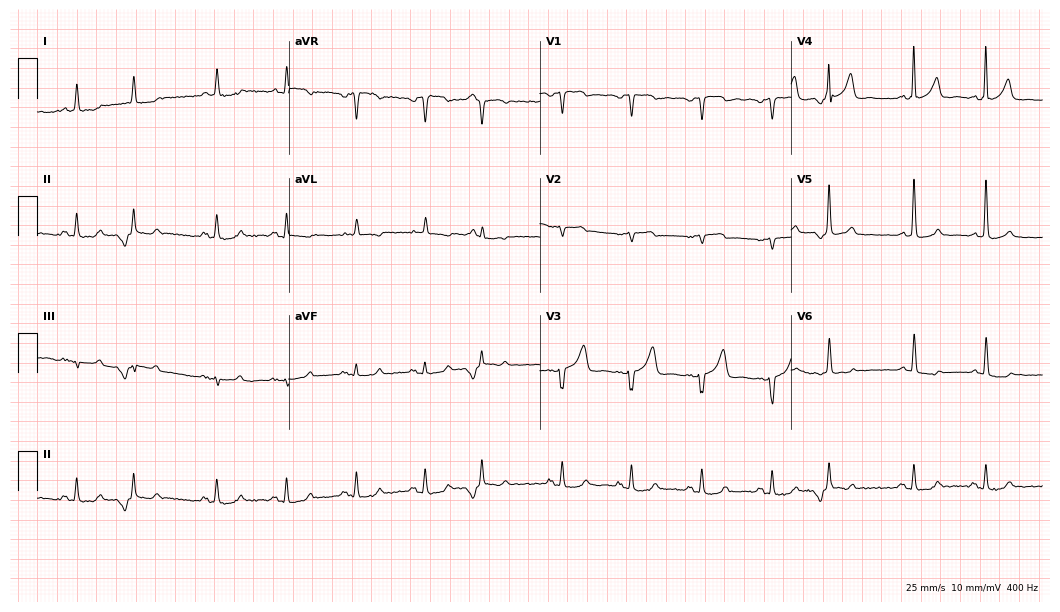
Standard 12-lead ECG recorded from a 68-year-old male patient. None of these six findings is recorded: first-degree AV block, right bundle branch block, left bundle branch block, sinus bradycardia, atrial fibrillation, sinus tachycardia.